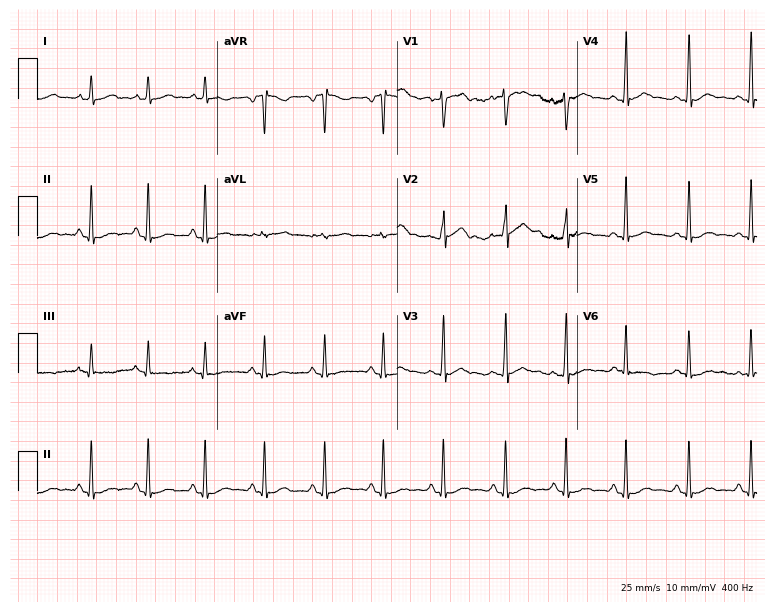
Resting 12-lead electrocardiogram (7.3-second recording at 400 Hz). Patient: an 18-year-old man. Read as a normal ECG.